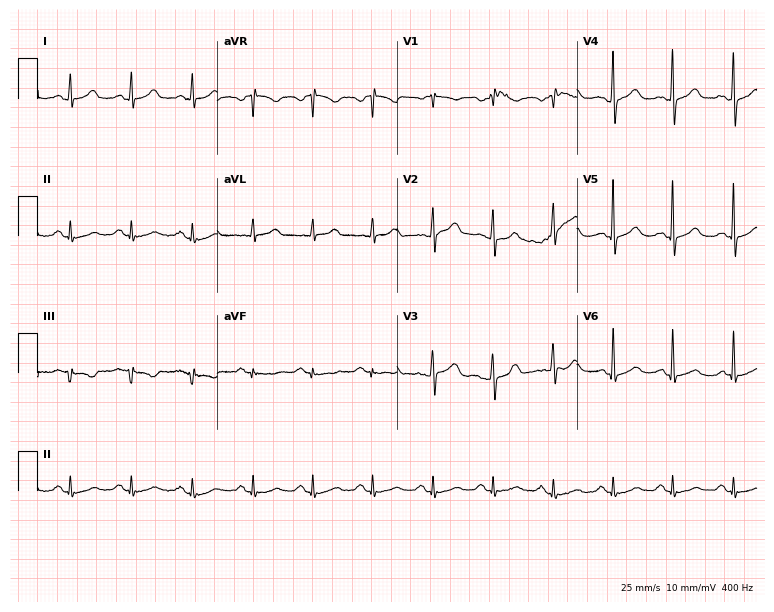
ECG (7.3-second recording at 400 Hz) — a female patient, 60 years old. Labelled as a normal ECG.